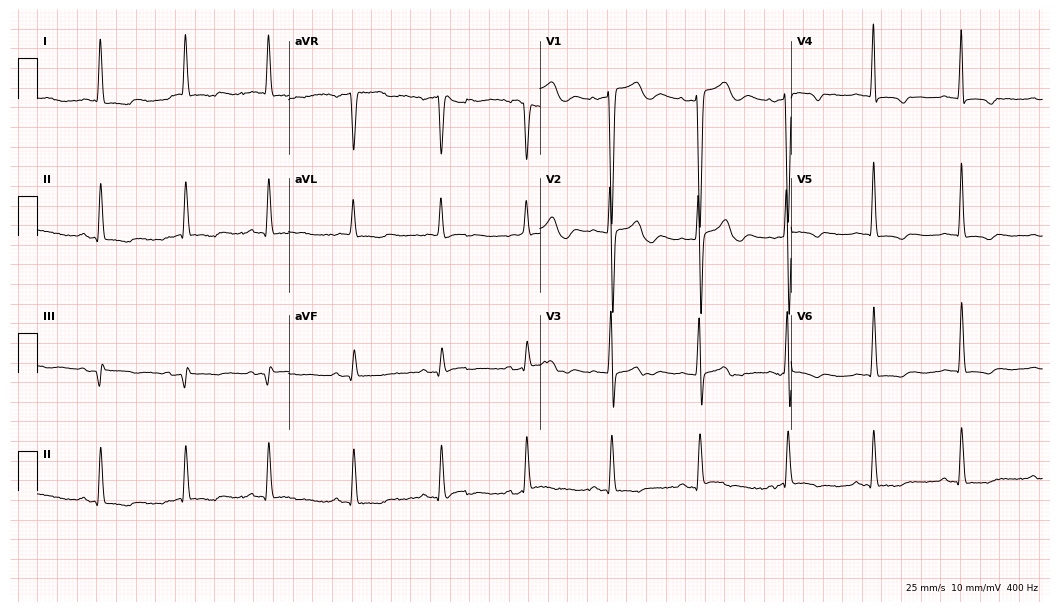
Electrocardiogram (10.2-second recording at 400 Hz), an 82-year-old woman. Of the six screened findings (first-degree AV block, right bundle branch block (RBBB), left bundle branch block (LBBB), sinus bradycardia, atrial fibrillation (AF), sinus tachycardia), none is recorded.